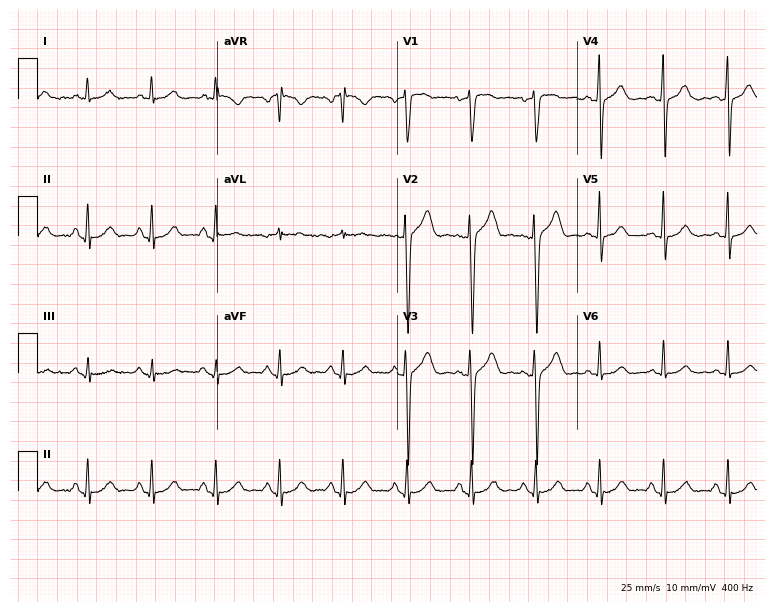
ECG — a 47-year-old male. Labelled as a normal ECG.